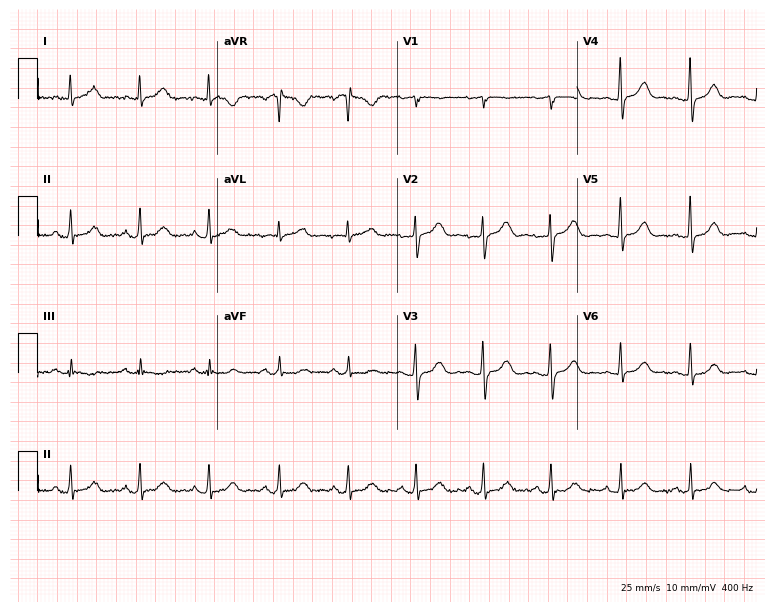
12-lead ECG (7.3-second recording at 400 Hz) from a woman, 75 years old. Labelled as a normal ECG.